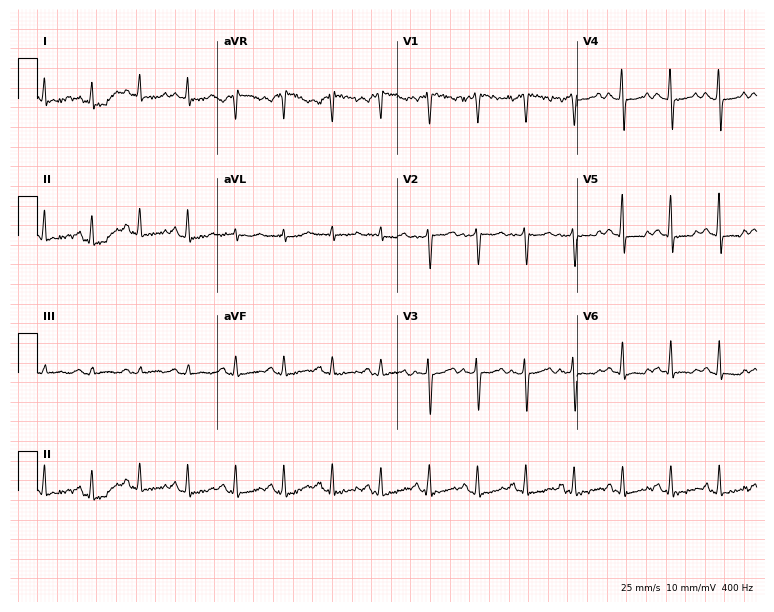
12-lead ECG (7.3-second recording at 400 Hz) from a female patient, 52 years old. Findings include sinus tachycardia (a sinus rate of 100 beats per minute or more).